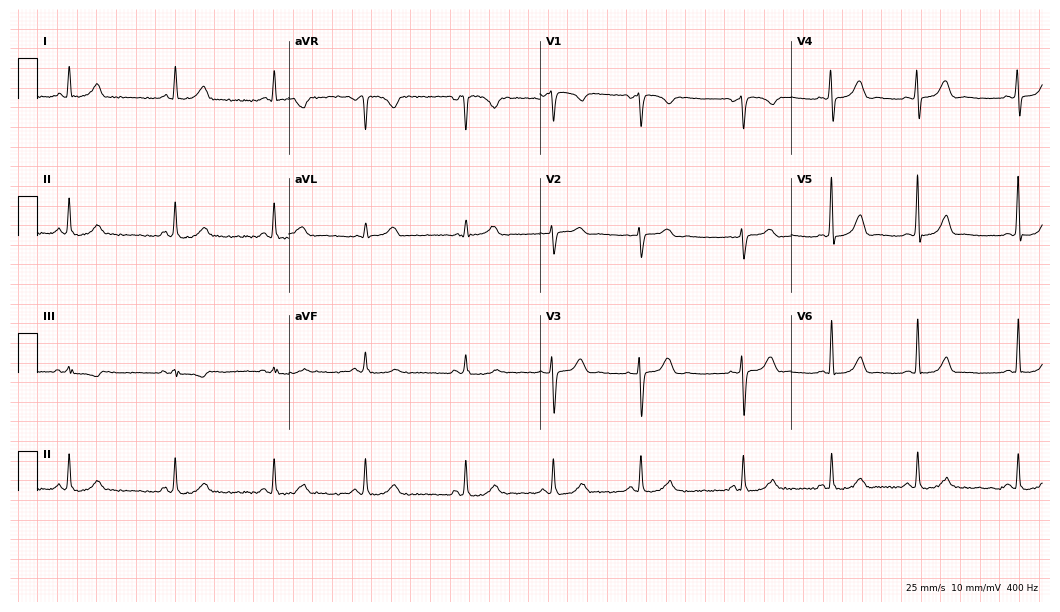
12-lead ECG from a 40-year-old woman. Labelled as a normal ECG.